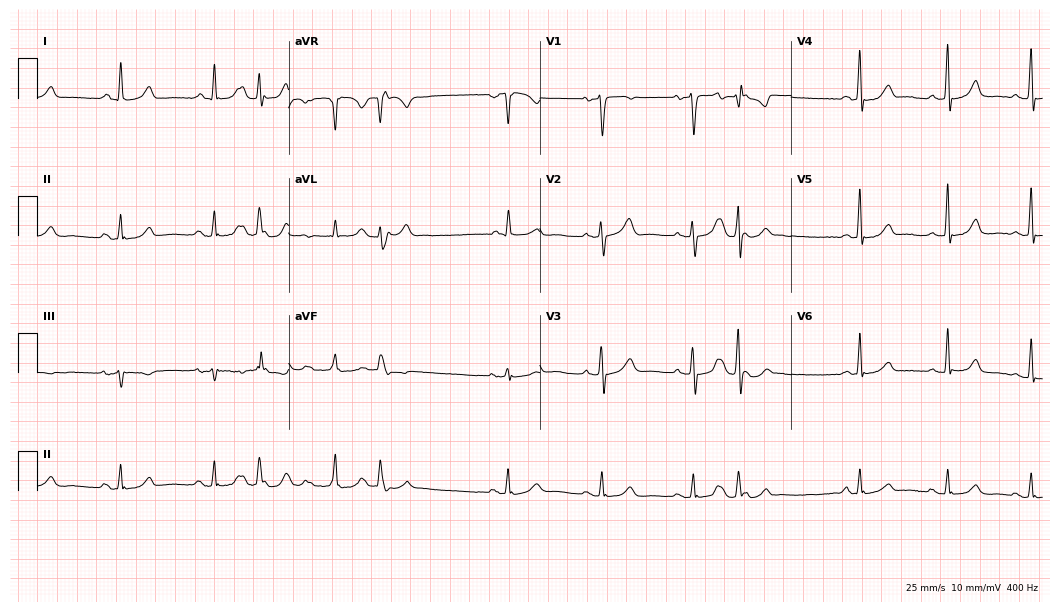
12-lead ECG from a 57-year-old woman (10.2-second recording at 400 Hz). No first-degree AV block, right bundle branch block (RBBB), left bundle branch block (LBBB), sinus bradycardia, atrial fibrillation (AF) or sinus tachycardia recorded for this tracing.